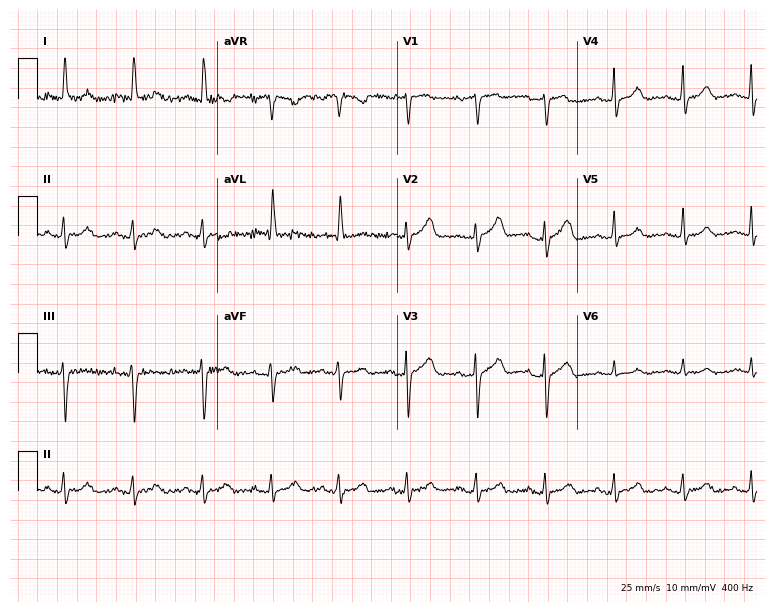
ECG — a female, 81 years old. Labelled as a normal ECG.